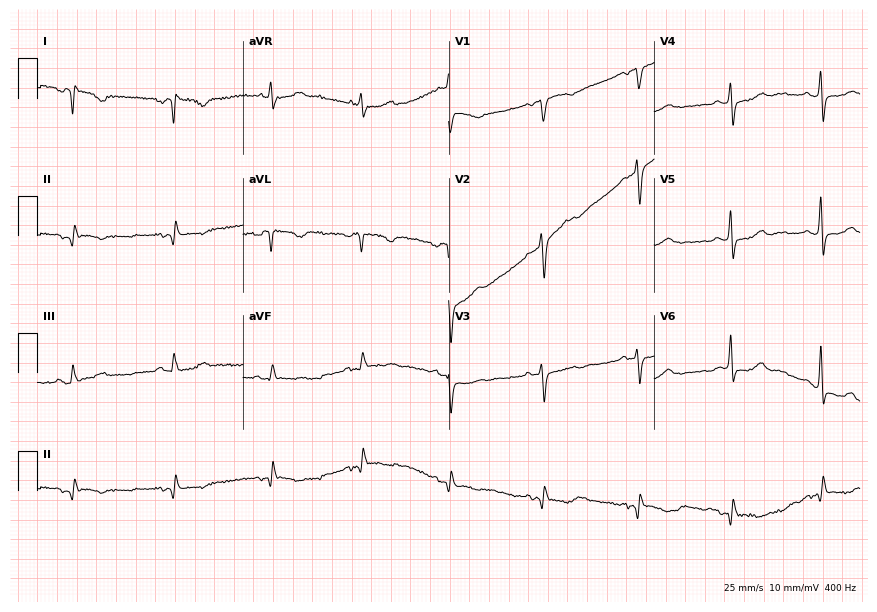
12-lead ECG from a female, 60 years old. Labelled as a normal ECG.